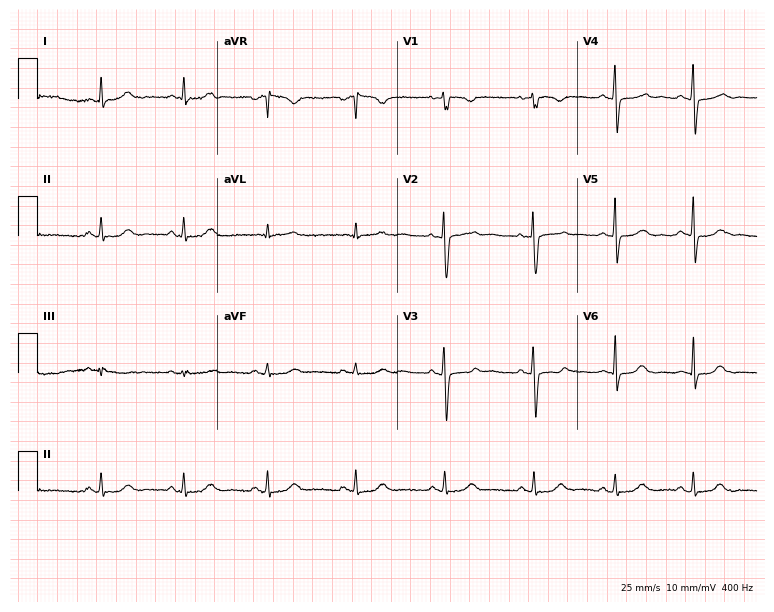
Standard 12-lead ECG recorded from a female, 32 years old (7.3-second recording at 400 Hz). Read as a normal ECG.